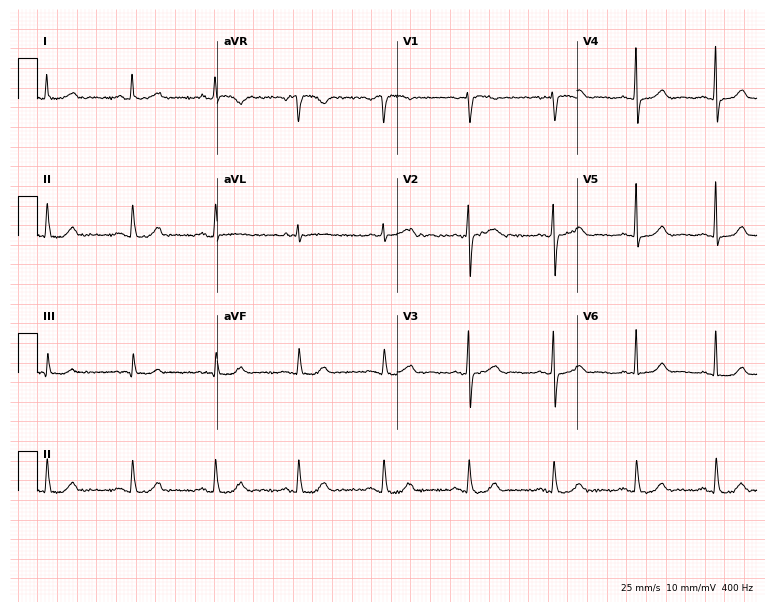
12-lead ECG (7.3-second recording at 400 Hz) from a 64-year-old female patient. Labelled as a normal ECG.